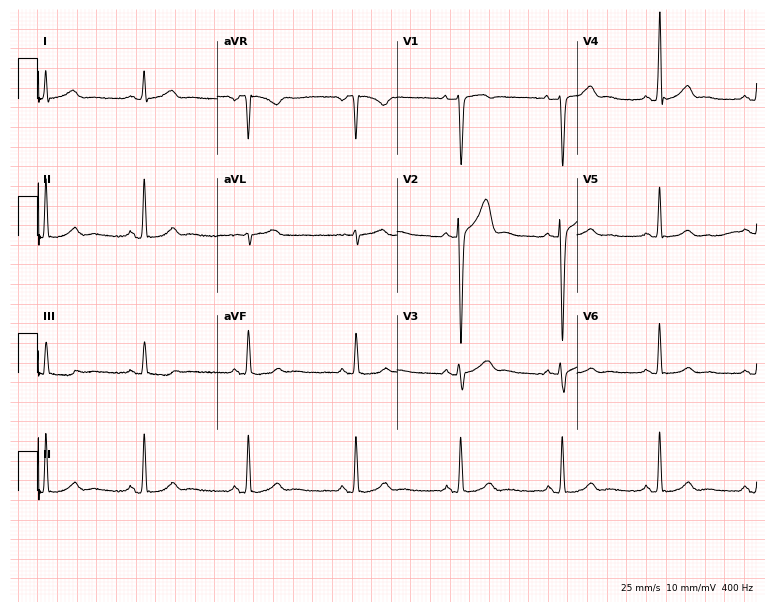
Resting 12-lead electrocardiogram (7.3-second recording at 400 Hz). Patient: a man, 28 years old. None of these six findings is recorded: first-degree AV block, right bundle branch block, left bundle branch block, sinus bradycardia, atrial fibrillation, sinus tachycardia.